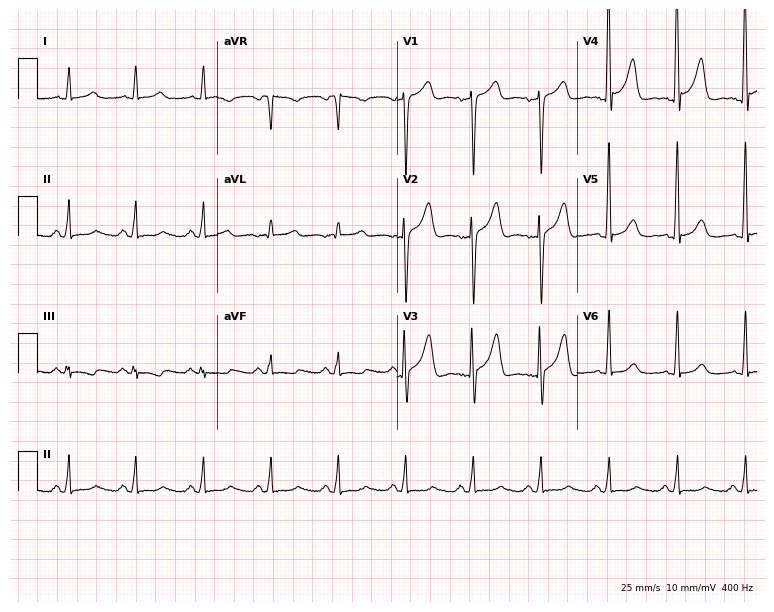
ECG — a 63-year-old male. Screened for six findings — first-degree AV block, right bundle branch block (RBBB), left bundle branch block (LBBB), sinus bradycardia, atrial fibrillation (AF), sinus tachycardia — none is recorded.